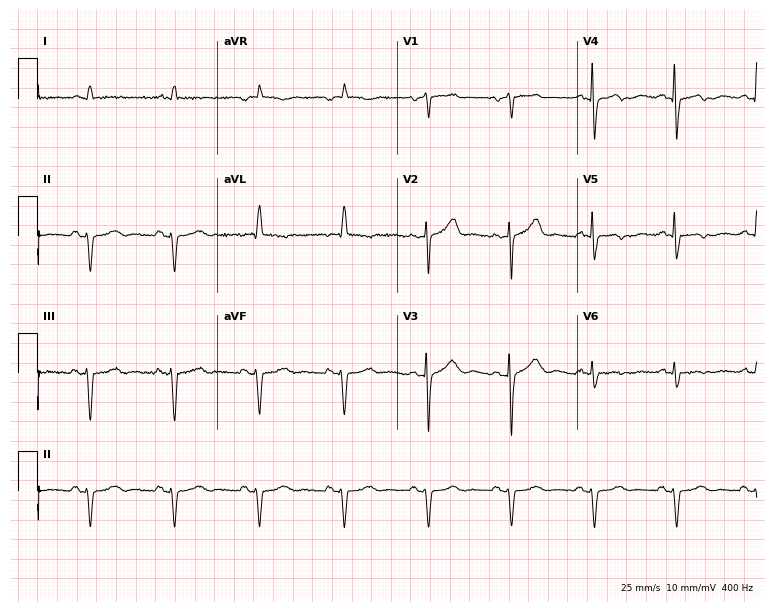
Electrocardiogram (7.3-second recording at 400 Hz), a male, 75 years old. Of the six screened findings (first-degree AV block, right bundle branch block, left bundle branch block, sinus bradycardia, atrial fibrillation, sinus tachycardia), none is recorded.